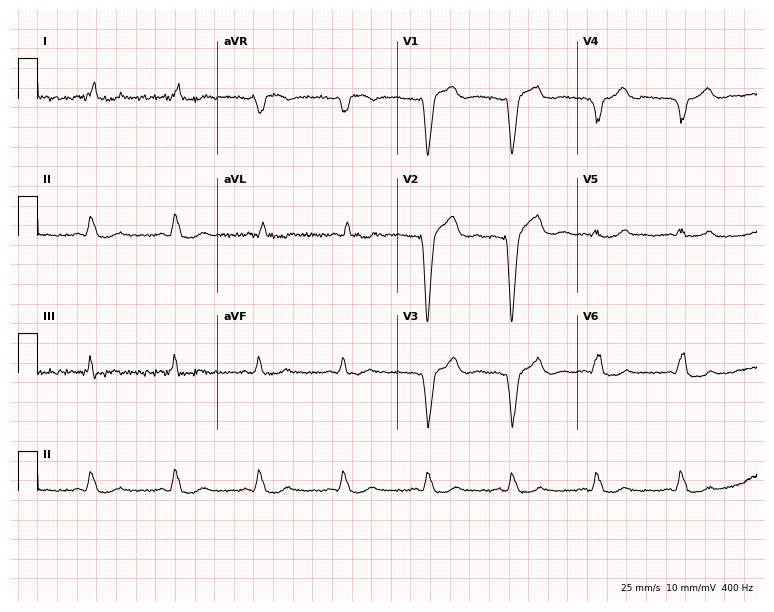
Electrocardiogram, a 61-year-old woman. Of the six screened findings (first-degree AV block, right bundle branch block (RBBB), left bundle branch block (LBBB), sinus bradycardia, atrial fibrillation (AF), sinus tachycardia), none is recorded.